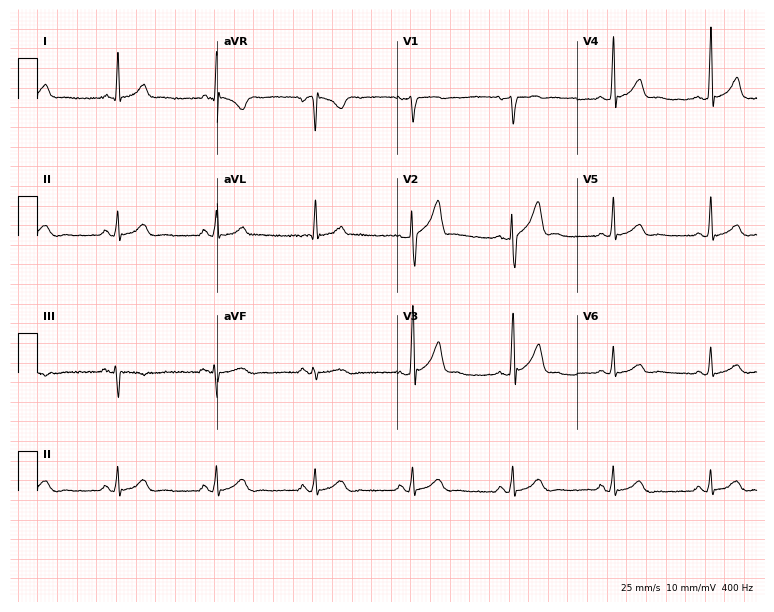
Electrocardiogram (7.3-second recording at 400 Hz), a male patient, 48 years old. Of the six screened findings (first-degree AV block, right bundle branch block, left bundle branch block, sinus bradycardia, atrial fibrillation, sinus tachycardia), none is recorded.